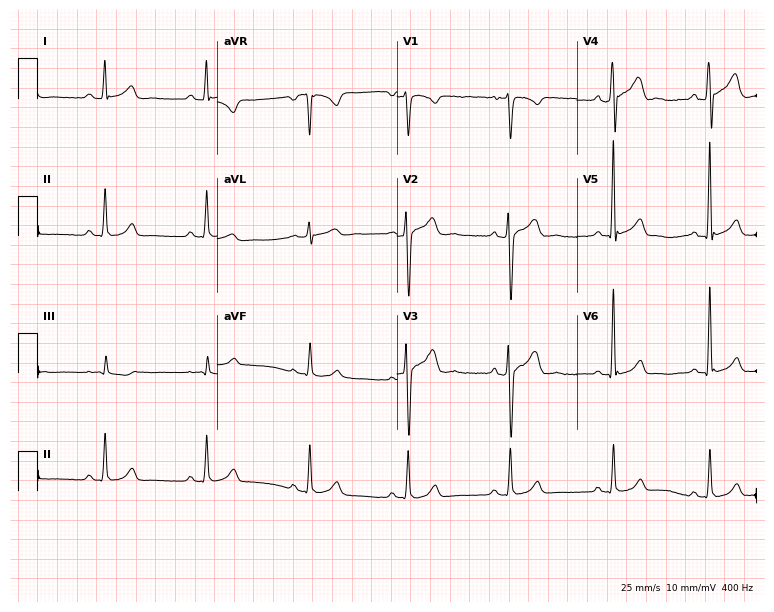
12-lead ECG from a 29-year-old male patient. Screened for six findings — first-degree AV block, right bundle branch block, left bundle branch block, sinus bradycardia, atrial fibrillation, sinus tachycardia — none is recorded.